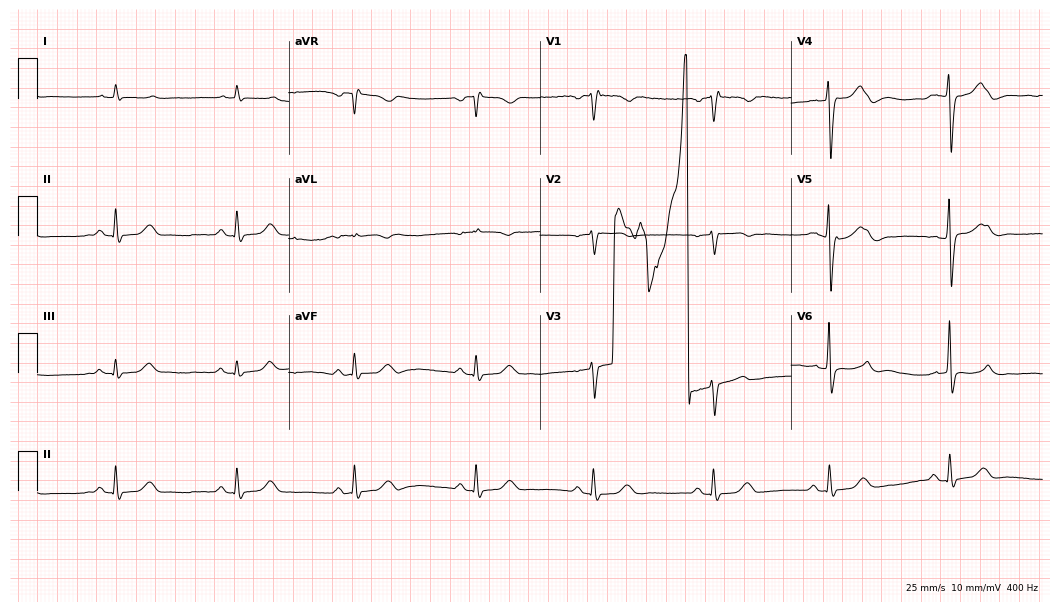
12-lead ECG from a male patient, 75 years old (10.2-second recording at 400 Hz). Shows sinus bradycardia (a sinus rate of 50 beats per minute or less).